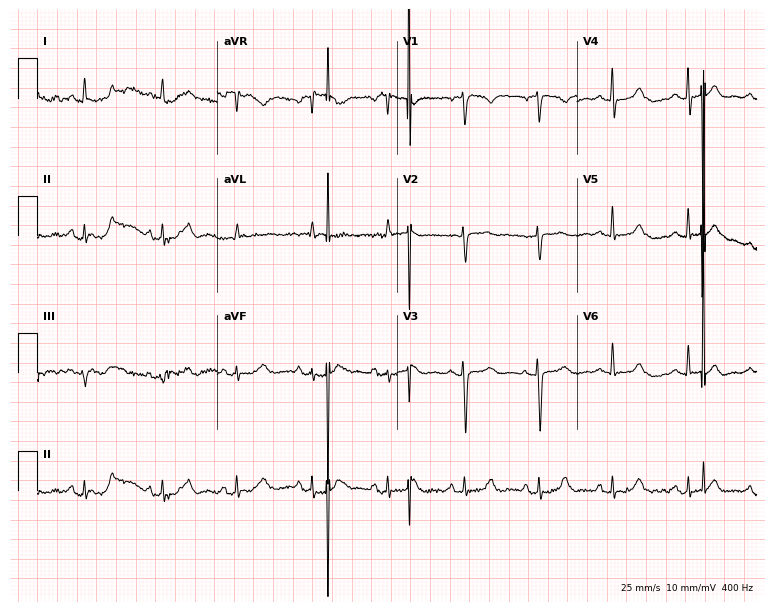
12-lead ECG (7.3-second recording at 400 Hz) from a woman, 53 years old. Labelled as a normal ECG.